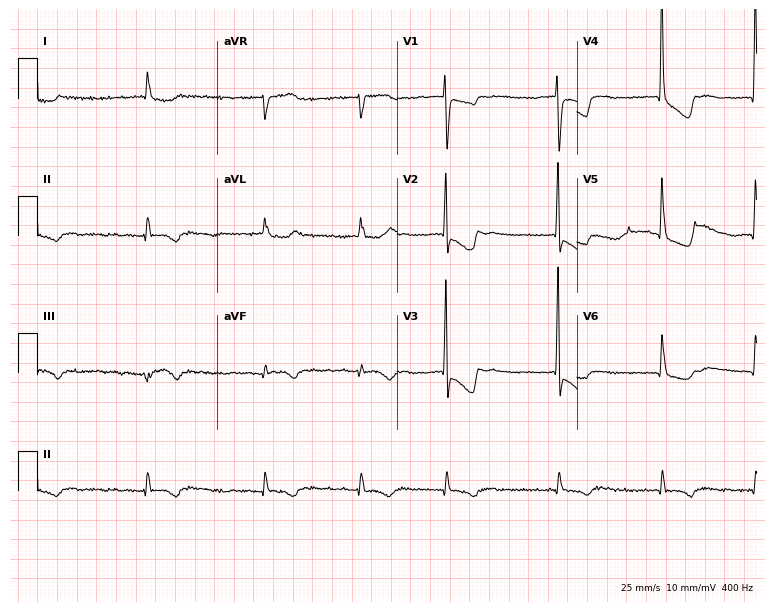
ECG (7.3-second recording at 400 Hz) — an 80-year-old female. Findings include atrial fibrillation.